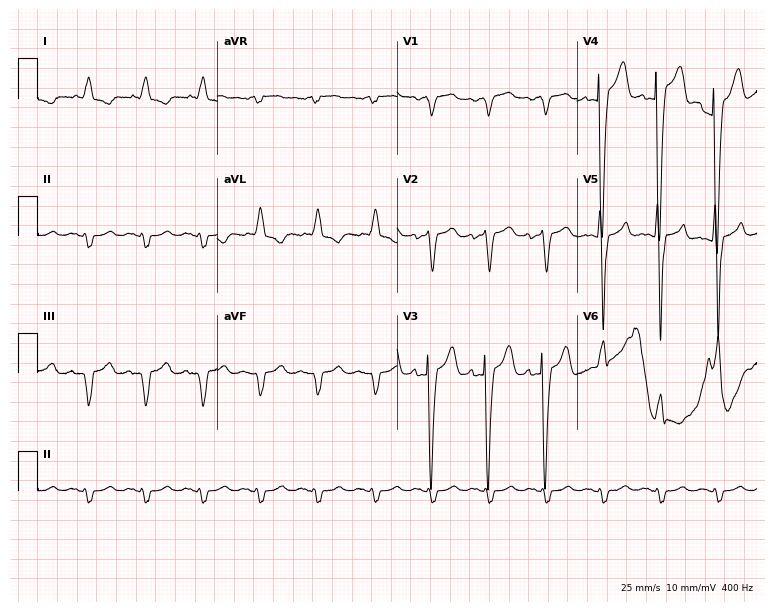
Electrocardiogram, an 83-year-old man. Interpretation includes sinus tachycardia (a sinus rate of 100 beats per minute or more).